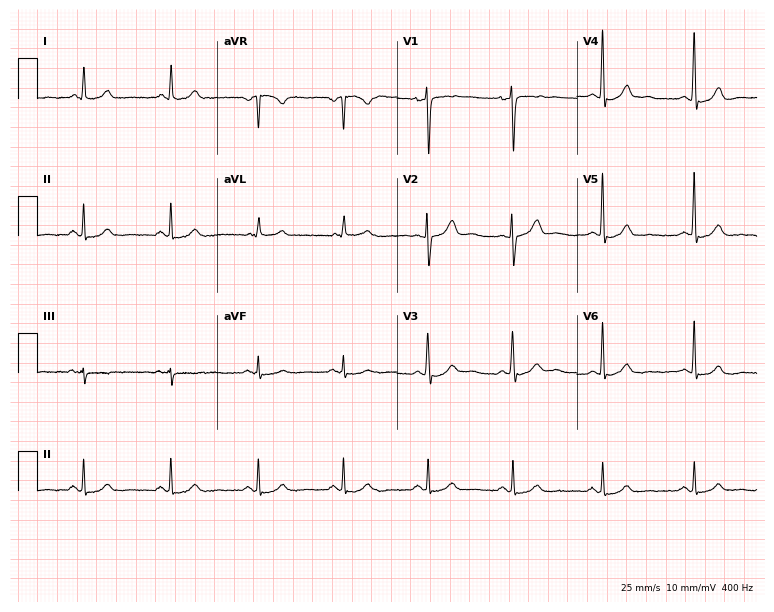
12-lead ECG from a 41-year-old female (7.3-second recording at 400 Hz). Recorded interpretation: within normal limits.